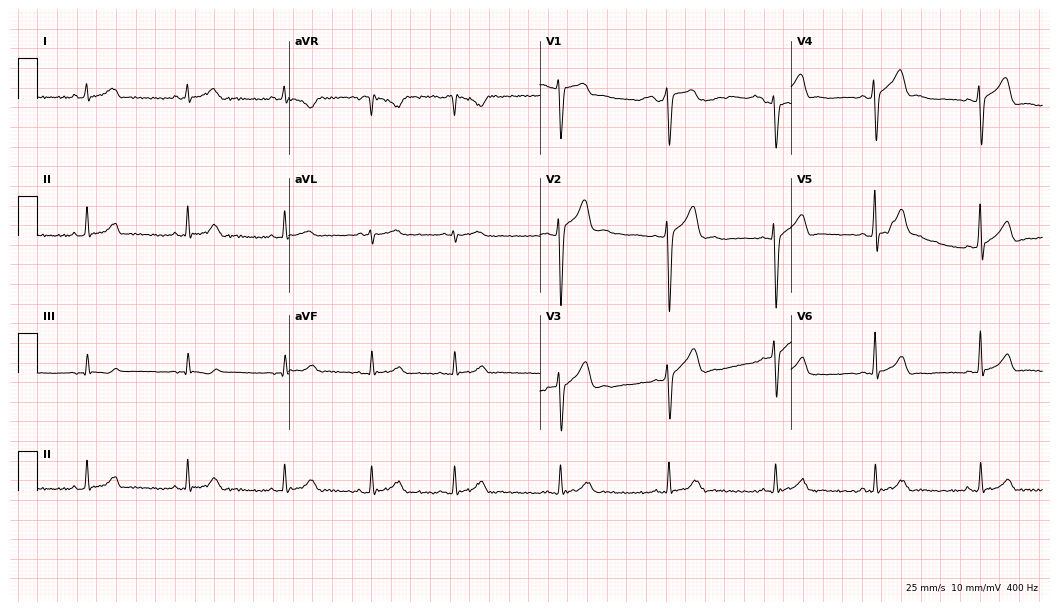
Resting 12-lead electrocardiogram (10.2-second recording at 400 Hz). Patient: a male, 17 years old. Read as a normal ECG.